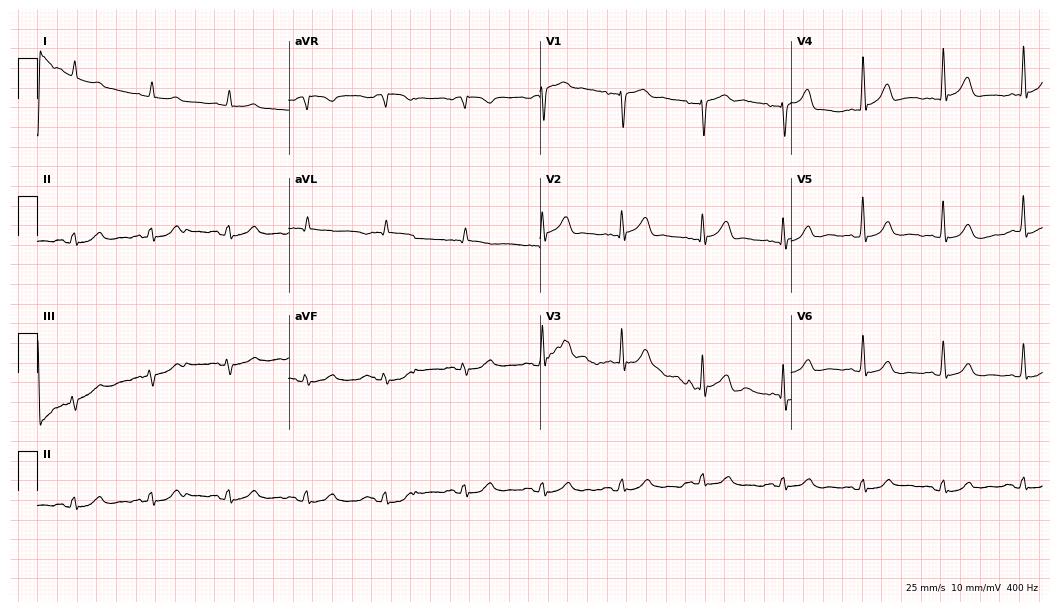
Standard 12-lead ECG recorded from a man, 84 years old. Read as a normal ECG.